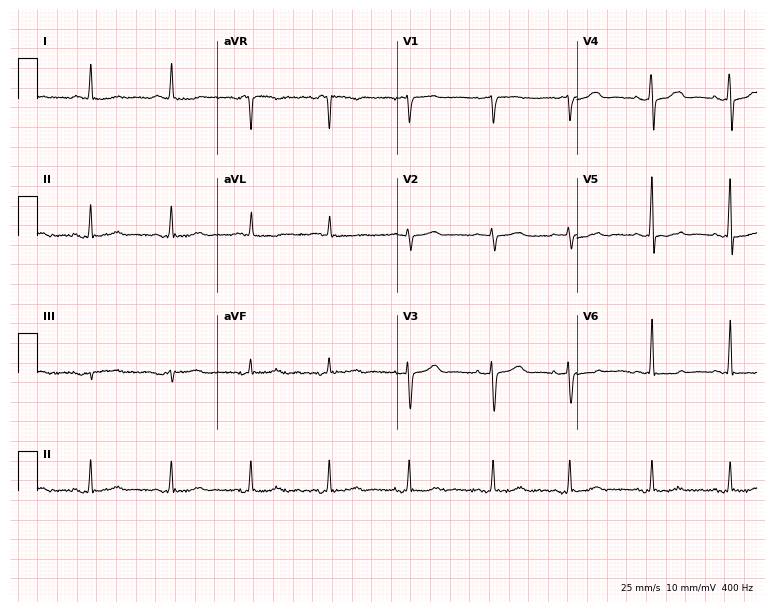
Standard 12-lead ECG recorded from a female, 74 years old (7.3-second recording at 400 Hz). None of these six findings is recorded: first-degree AV block, right bundle branch block, left bundle branch block, sinus bradycardia, atrial fibrillation, sinus tachycardia.